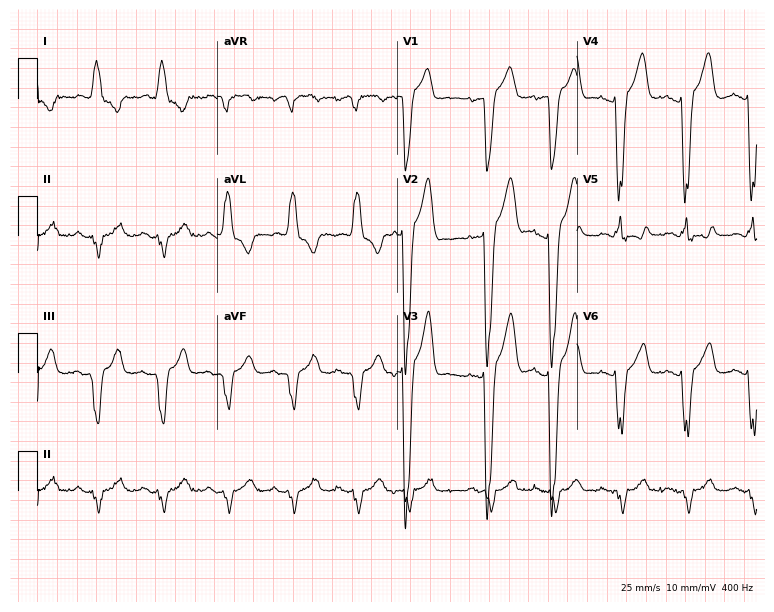
12-lead ECG from a male patient, 79 years old. Shows left bundle branch block (LBBB).